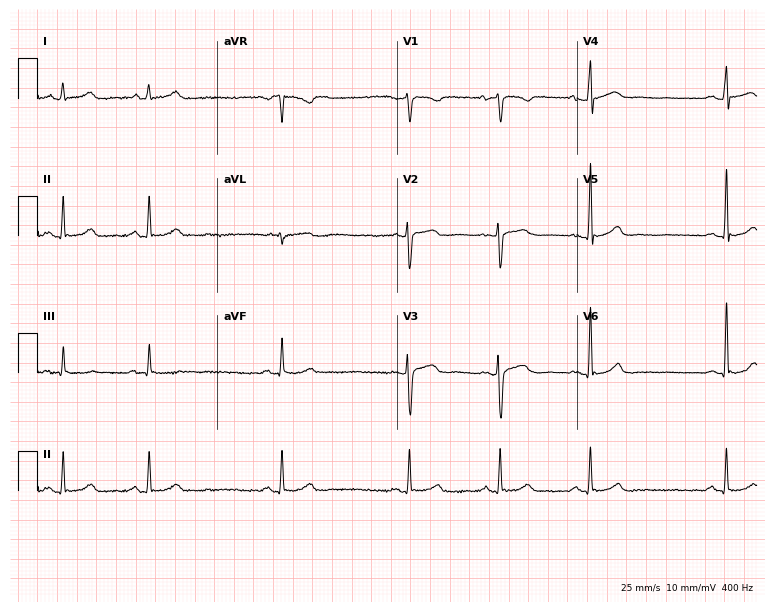
12-lead ECG from a female patient, 22 years old (7.3-second recording at 400 Hz). Recorded interpretation: within normal limits.